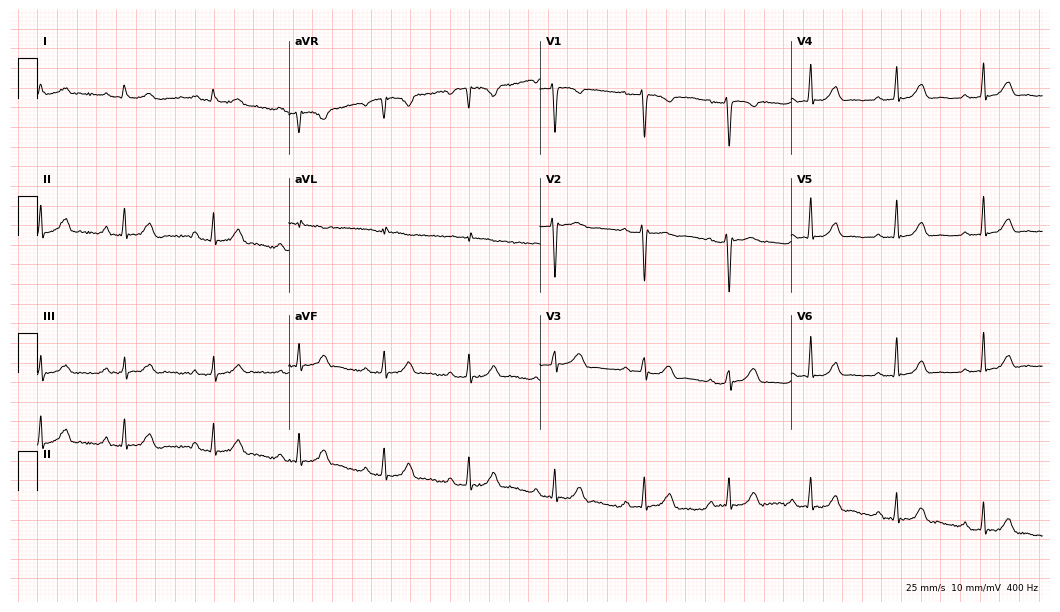
12-lead ECG from a female, 31 years old (10.2-second recording at 400 Hz). Recorded interpretation: within normal limits.